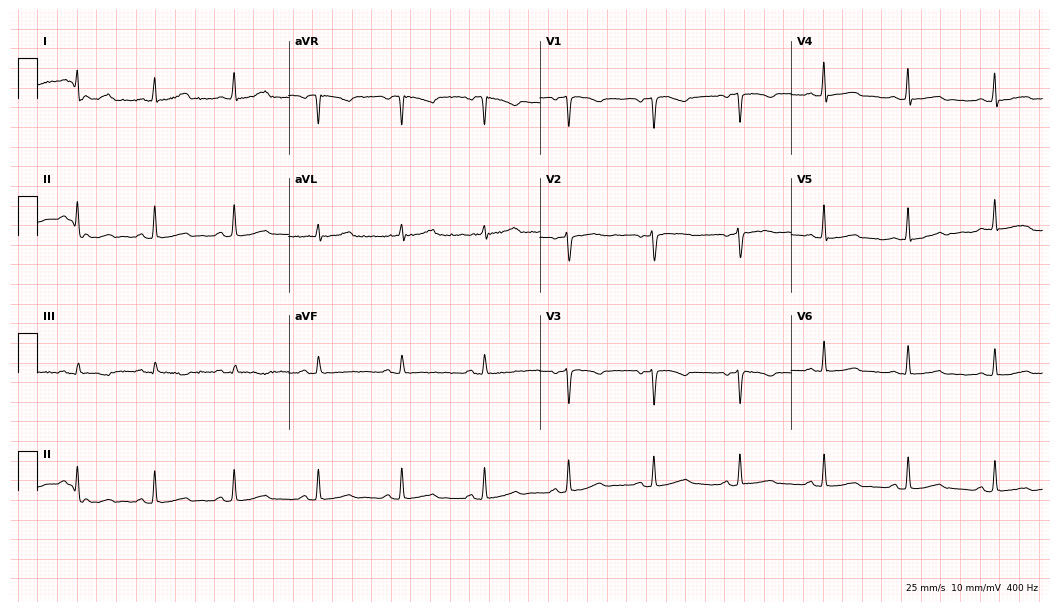
Resting 12-lead electrocardiogram. Patient: a 34-year-old female. None of these six findings is recorded: first-degree AV block, right bundle branch block, left bundle branch block, sinus bradycardia, atrial fibrillation, sinus tachycardia. Only these six findings were labelled.